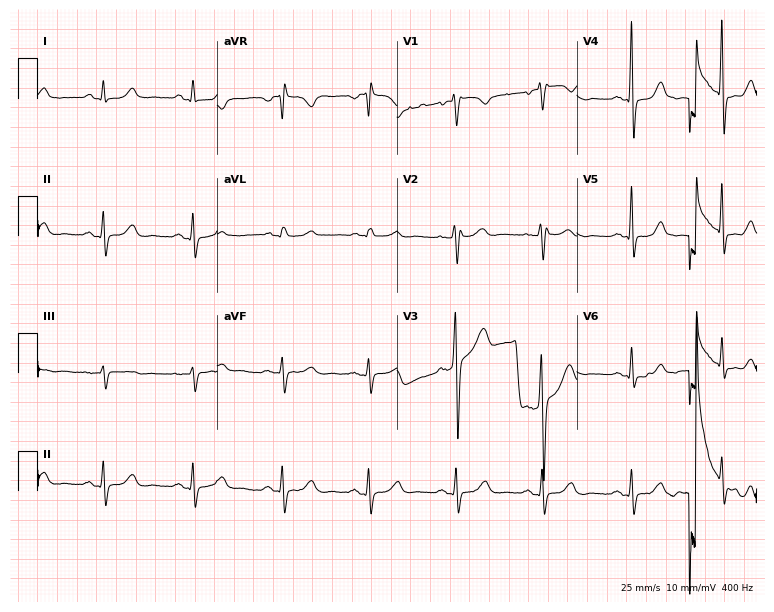
Standard 12-lead ECG recorded from a 58-year-old female (7.3-second recording at 400 Hz). None of these six findings is recorded: first-degree AV block, right bundle branch block (RBBB), left bundle branch block (LBBB), sinus bradycardia, atrial fibrillation (AF), sinus tachycardia.